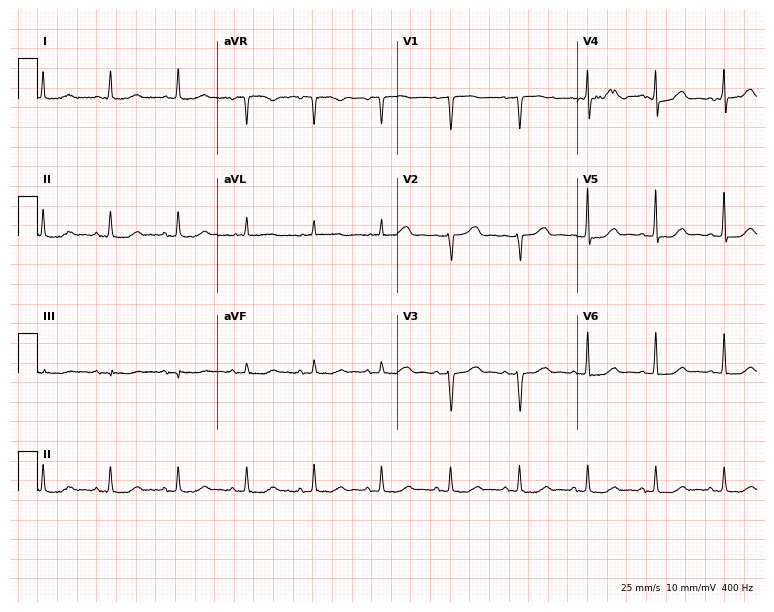
12-lead ECG from a female patient, 80 years old. Recorded interpretation: within normal limits.